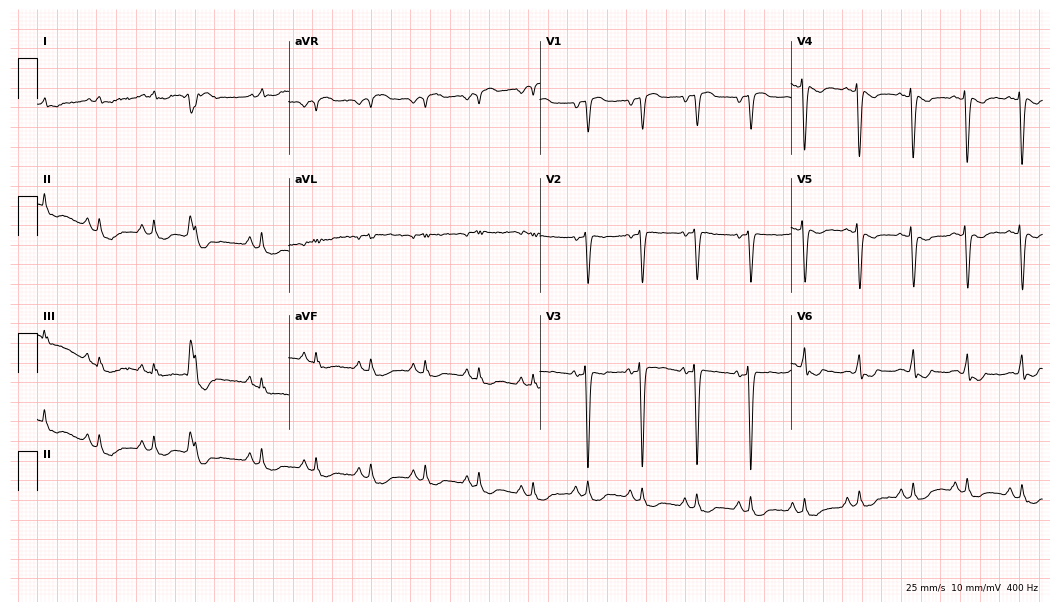
12-lead ECG from a 74-year-old female. Screened for six findings — first-degree AV block, right bundle branch block, left bundle branch block, sinus bradycardia, atrial fibrillation, sinus tachycardia — none is recorded.